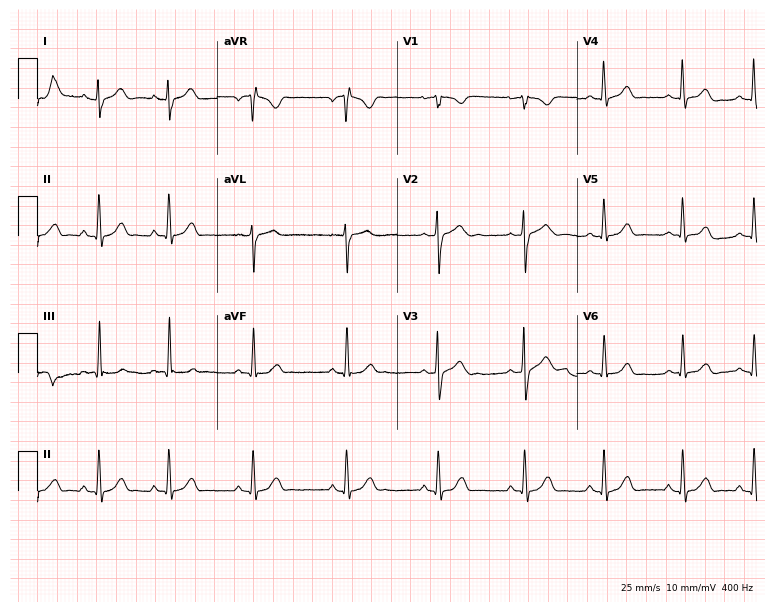
12-lead ECG from a female, 23 years old. Recorded interpretation: within normal limits.